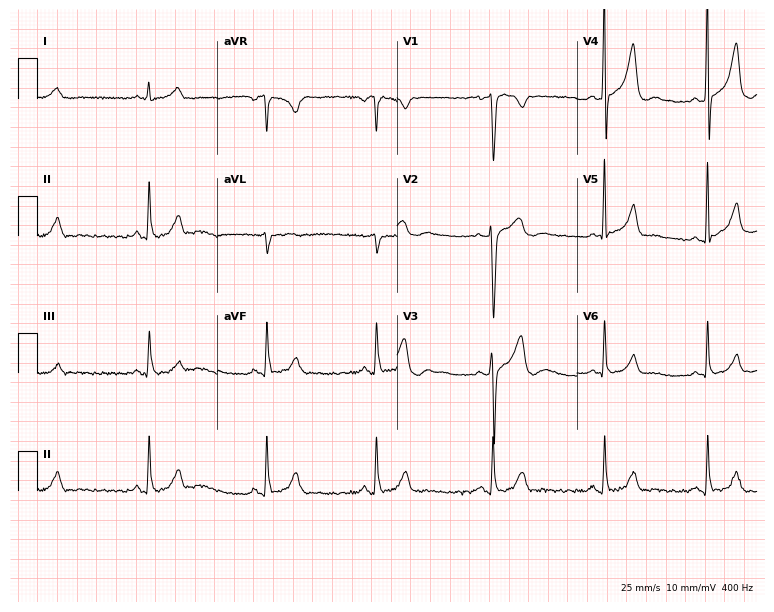
Standard 12-lead ECG recorded from a male patient, 39 years old. None of these six findings is recorded: first-degree AV block, right bundle branch block, left bundle branch block, sinus bradycardia, atrial fibrillation, sinus tachycardia.